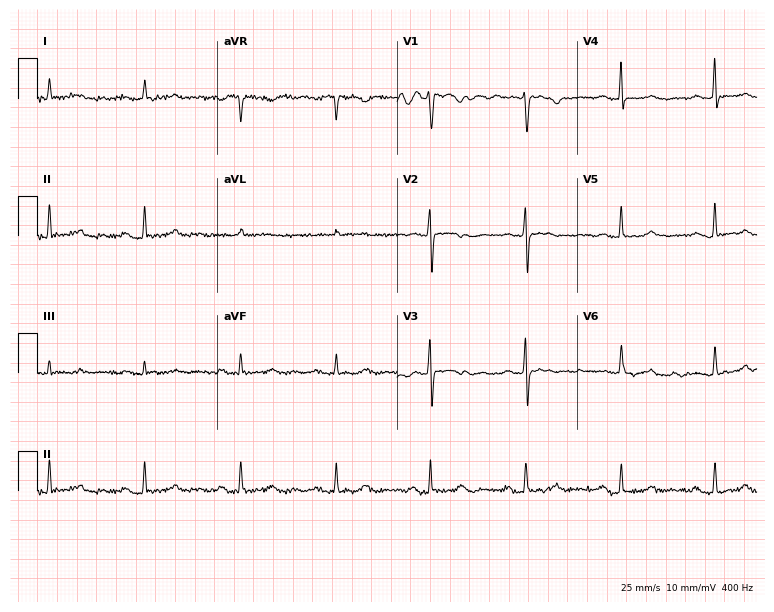
Resting 12-lead electrocardiogram (7.3-second recording at 400 Hz). Patient: a 79-year-old woman. None of these six findings is recorded: first-degree AV block, right bundle branch block, left bundle branch block, sinus bradycardia, atrial fibrillation, sinus tachycardia. Other findings, if any, are not listed.